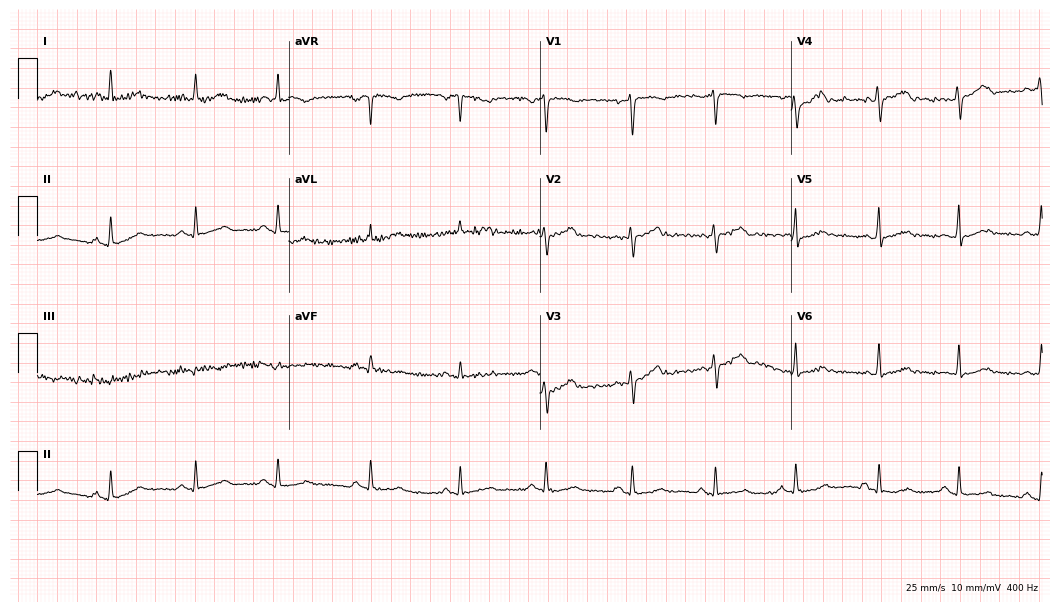
ECG — a female patient, 33 years old. Screened for six findings — first-degree AV block, right bundle branch block, left bundle branch block, sinus bradycardia, atrial fibrillation, sinus tachycardia — none is recorded. Findings outside these six are not listed.